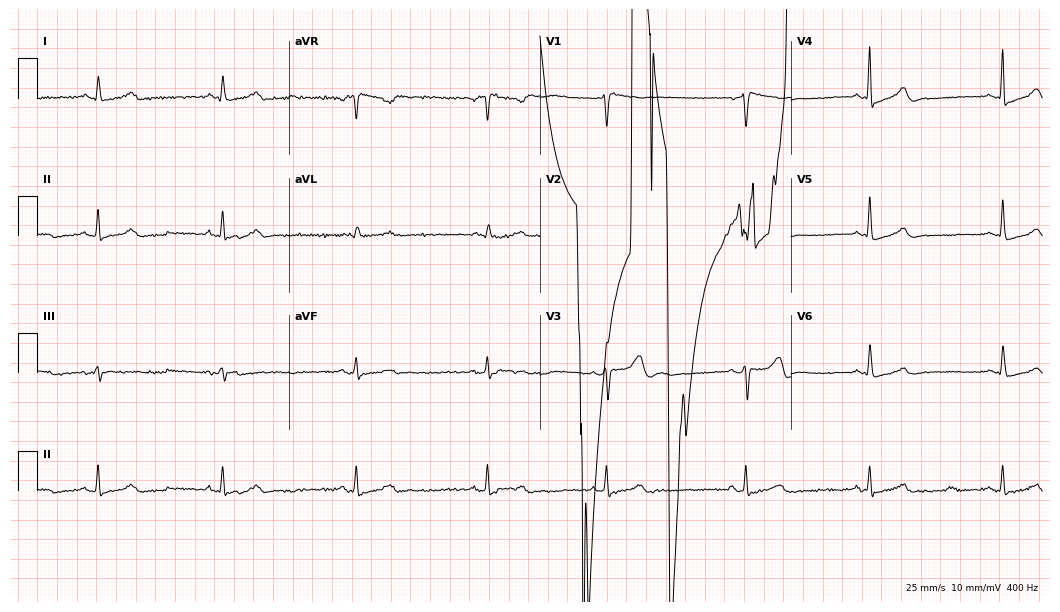
Resting 12-lead electrocardiogram (10.2-second recording at 400 Hz). Patient: a female, 54 years old. None of these six findings is recorded: first-degree AV block, right bundle branch block (RBBB), left bundle branch block (LBBB), sinus bradycardia, atrial fibrillation (AF), sinus tachycardia. Findings outside these six are not listed.